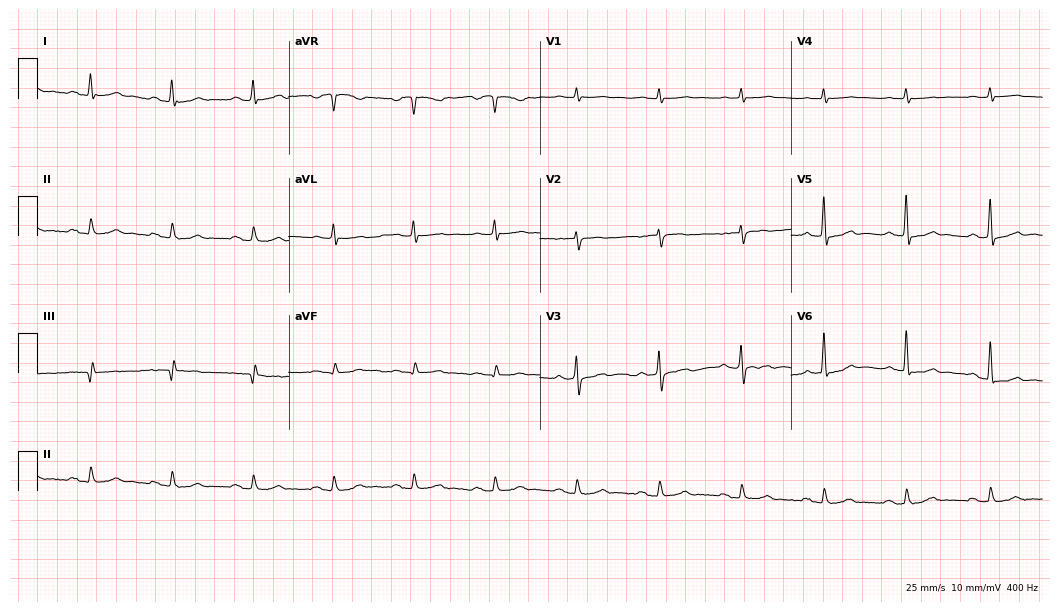
Standard 12-lead ECG recorded from a 73-year-old male (10.2-second recording at 400 Hz). The tracing shows first-degree AV block.